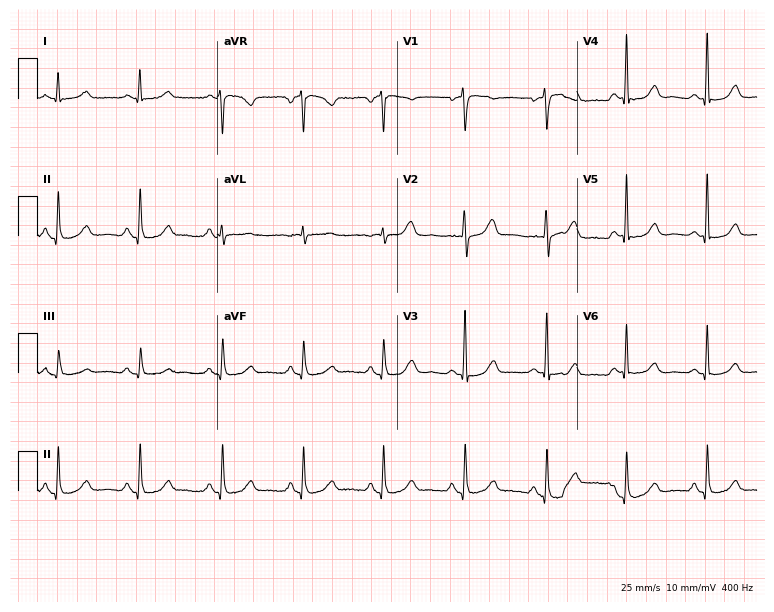
Standard 12-lead ECG recorded from a 58-year-old female patient. Read as a normal ECG.